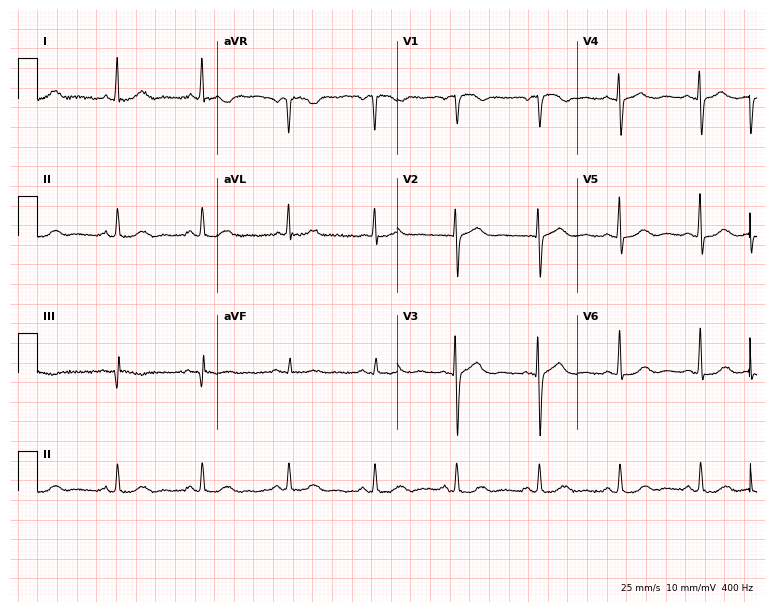
Electrocardiogram, a 74-year-old woman. Of the six screened findings (first-degree AV block, right bundle branch block, left bundle branch block, sinus bradycardia, atrial fibrillation, sinus tachycardia), none is recorded. Findings outside these six are not listed.